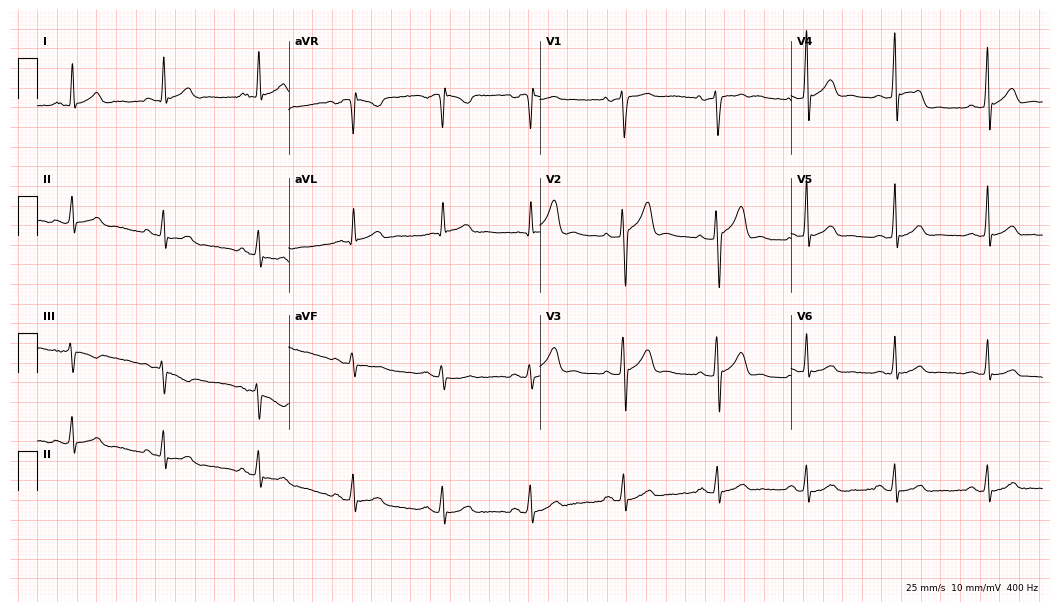
Resting 12-lead electrocardiogram (10.2-second recording at 400 Hz). Patient: a 42-year-old male. None of these six findings is recorded: first-degree AV block, right bundle branch block, left bundle branch block, sinus bradycardia, atrial fibrillation, sinus tachycardia.